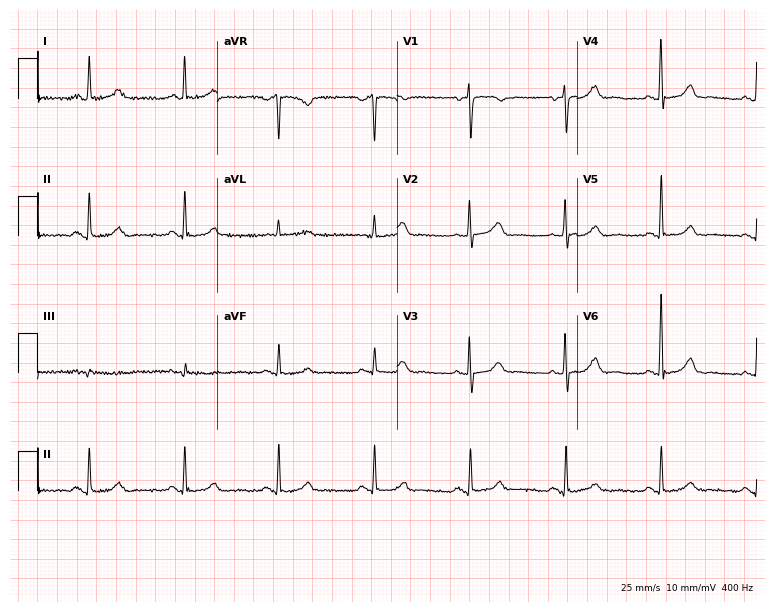
12-lead ECG from a 78-year-old female (7.3-second recording at 400 Hz). Recorded interpretation: within normal limits.